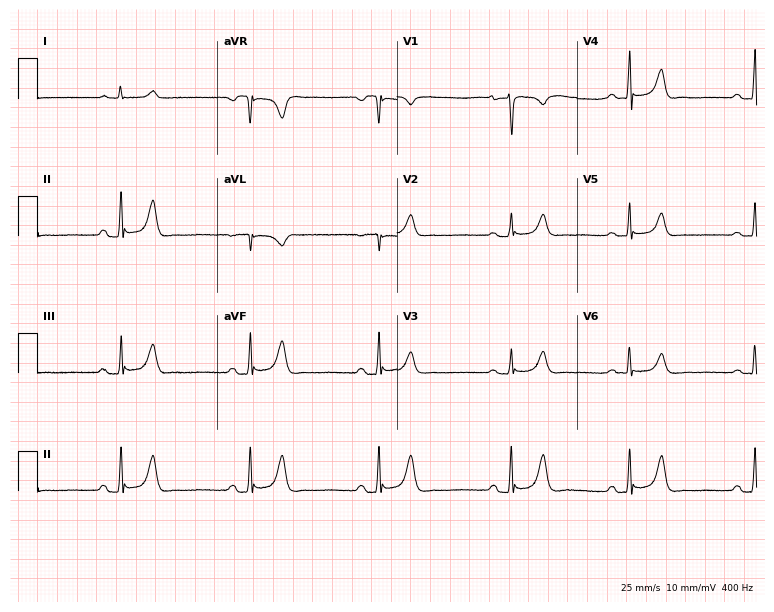
Resting 12-lead electrocardiogram (7.3-second recording at 400 Hz). Patient: a female, 56 years old. The tracing shows sinus bradycardia (a sinus rate of 50 beats per minute or less).